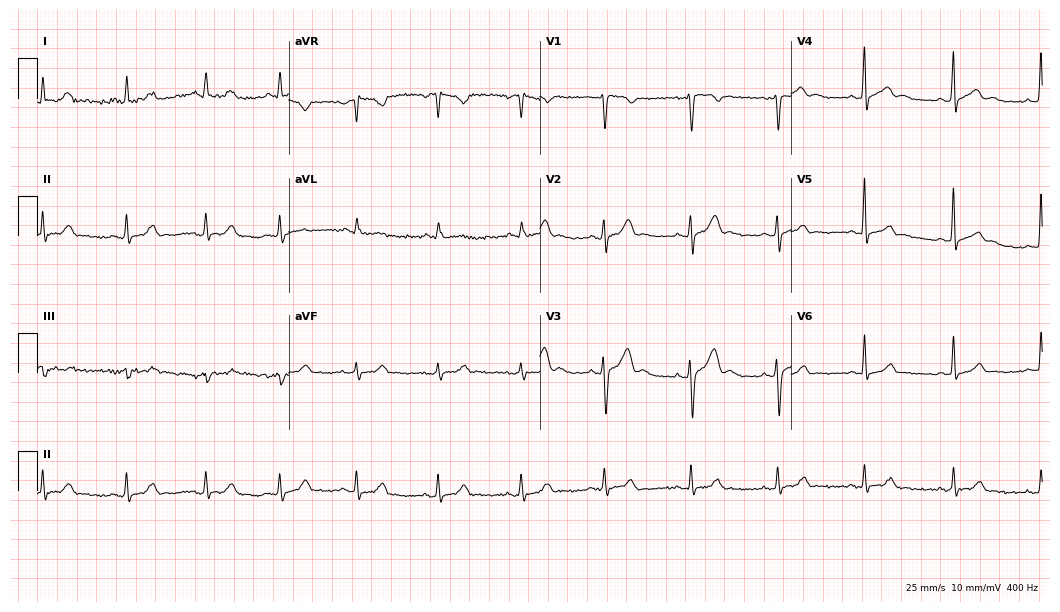
Resting 12-lead electrocardiogram (10.2-second recording at 400 Hz). Patient: a 33-year-old male. Read as a normal ECG.